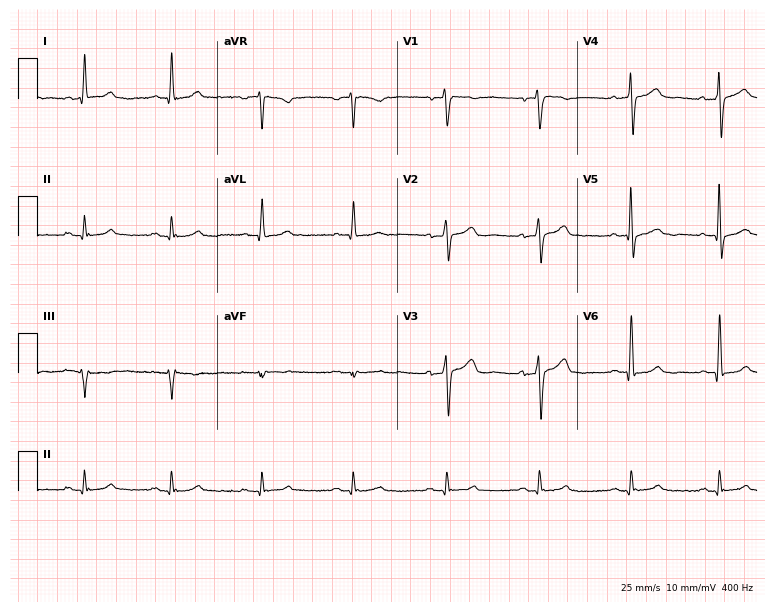
Standard 12-lead ECG recorded from a 53-year-old male (7.3-second recording at 400 Hz). None of these six findings is recorded: first-degree AV block, right bundle branch block (RBBB), left bundle branch block (LBBB), sinus bradycardia, atrial fibrillation (AF), sinus tachycardia.